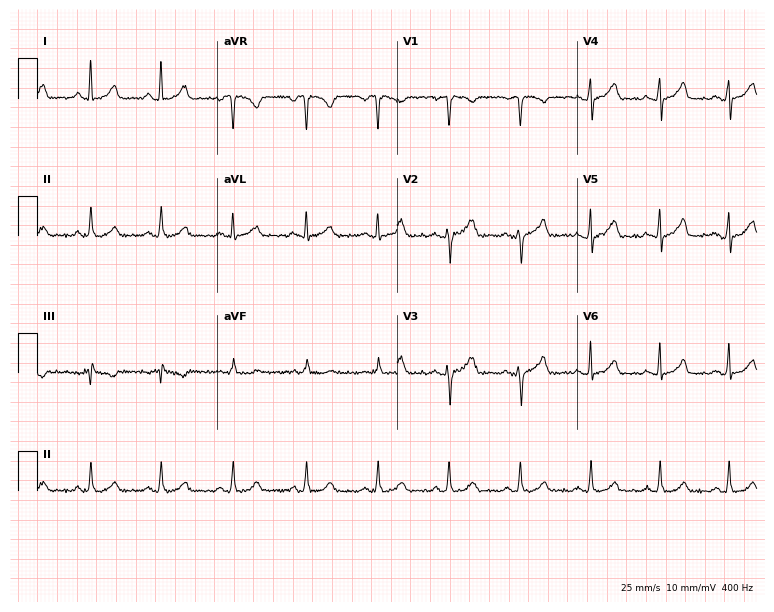
Standard 12-lead ECG recorded from a 36-year-old female patient. Read as a normal ECG.